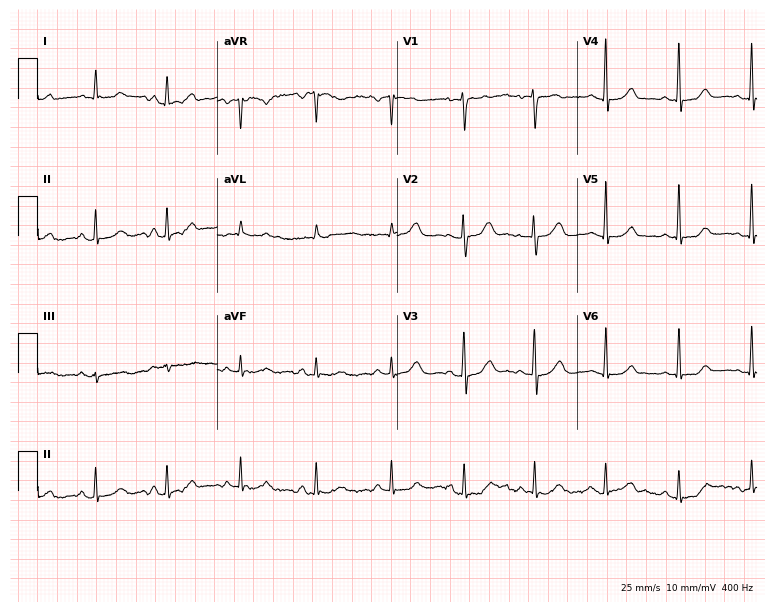
Electrocardiogram, a female patient, 62 years old. Of the six screened findings (first-degree AV block, right bundle branch block, left bundle branch block, sinus bradycardia, atrial fibrillation, sinus tachycardia), none is recorded. Only these six findings were labelled.